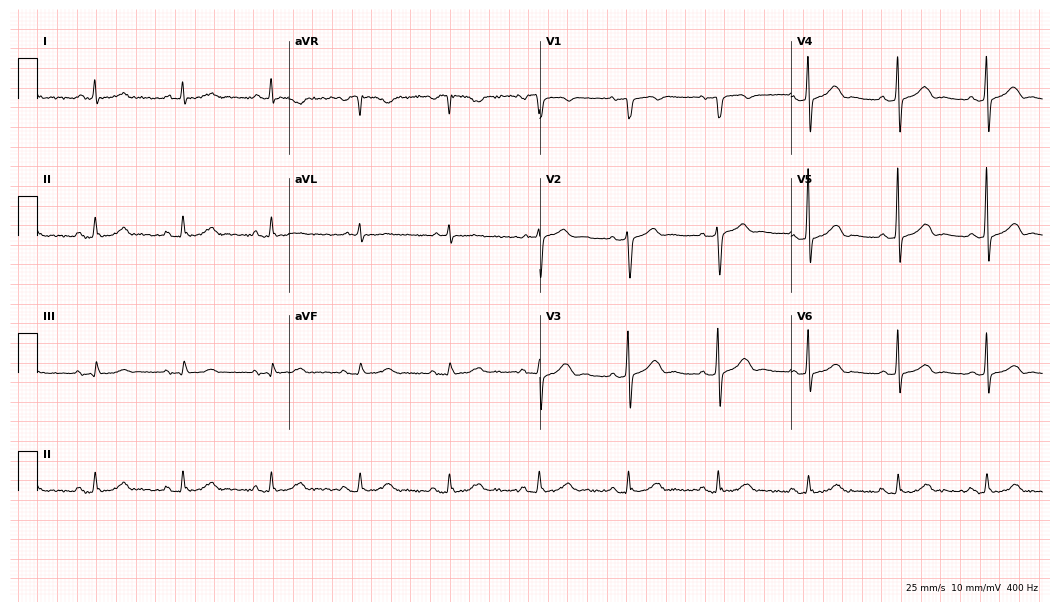
Standard 12-lead ECG recorded from a man, 69 years old (10.2-second recording at 400 Hz). Read as a normal ECG.